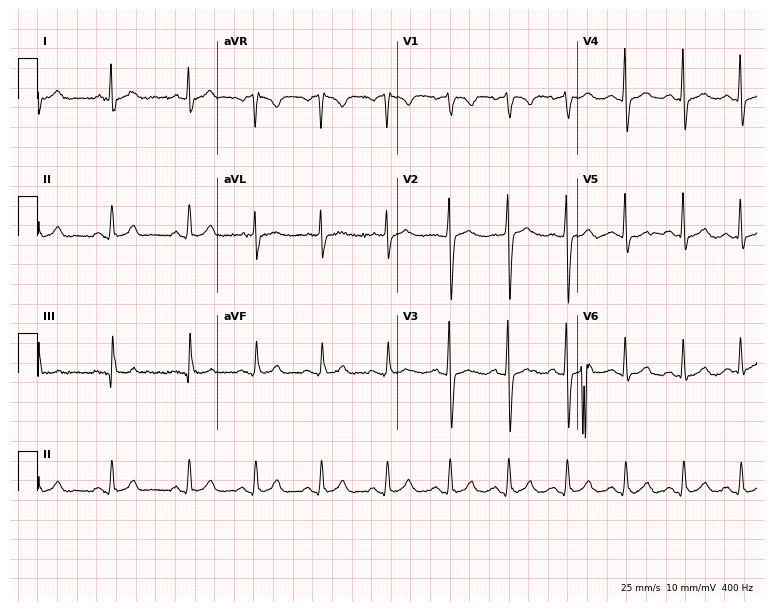
Resting 12-lead electrocardiogram. Patient: a male, 32 years old. None of these six findings is recorded: first-degree AV block, right bundle branch block, left bundle branch block, sinus bradycardia, atrial fibrillation, sinus tachycardia. Findings outside these six are not listed.